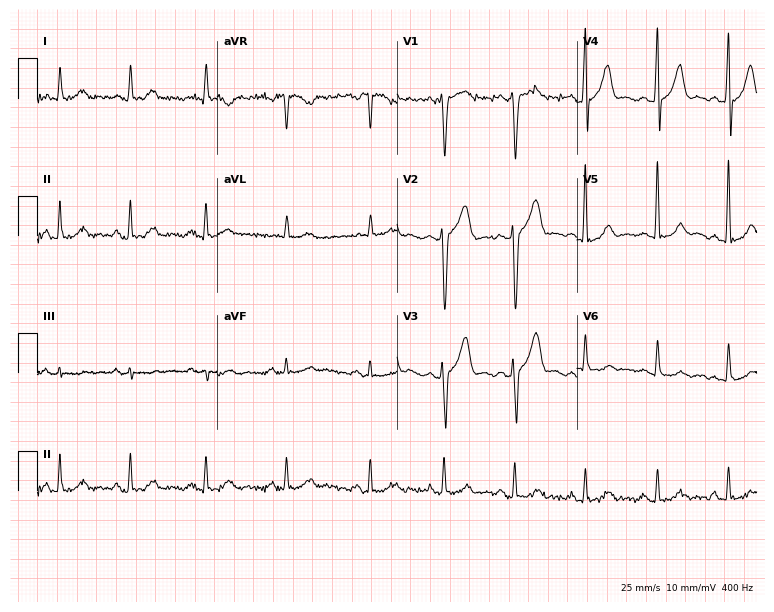
Standard 12-lead ECG recorded from a 63-year-old male patient (7.3-second recording at 400 Hz). Read as a normal ECG.